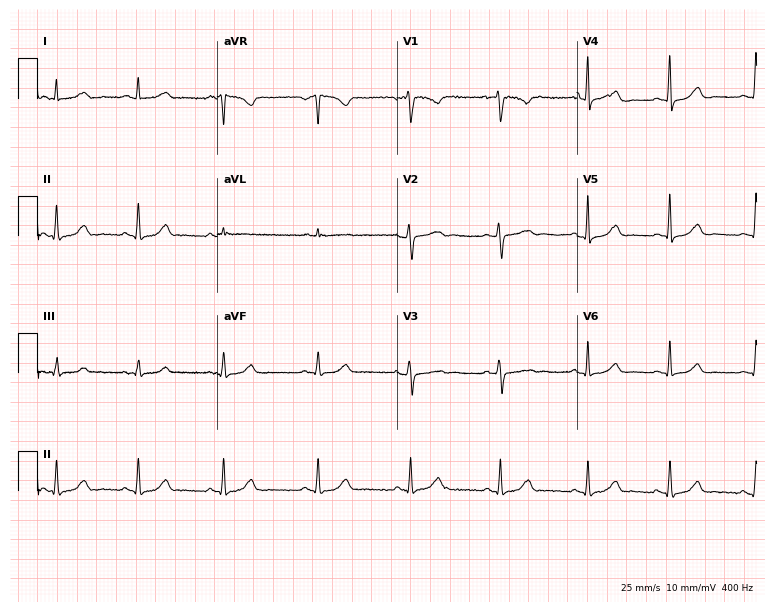
ECG (7.3-second recording at 400 Hz) — a woman, 42 years old. Labelled as a normal ECG.